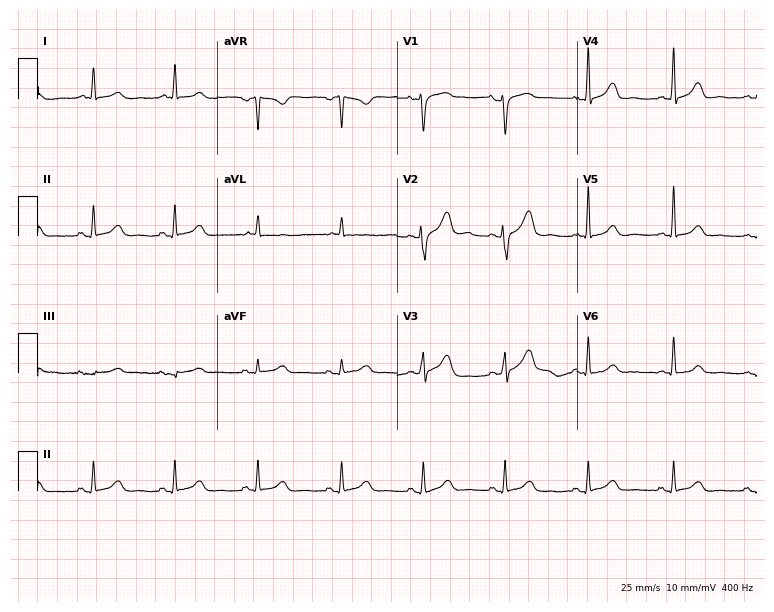
Resting 12-lead electrocardiogram (7.3-second recording at 400 Hz). Patient: a woman, 57 years old. None of these six findings is recorded: first-degree AV block, right bundle branch block (RBBB), left bundle branch block (LBBB), sinus bradycardia, atrial fibrillation (AF), sinus tachycardia. Only these six findings were labelled.